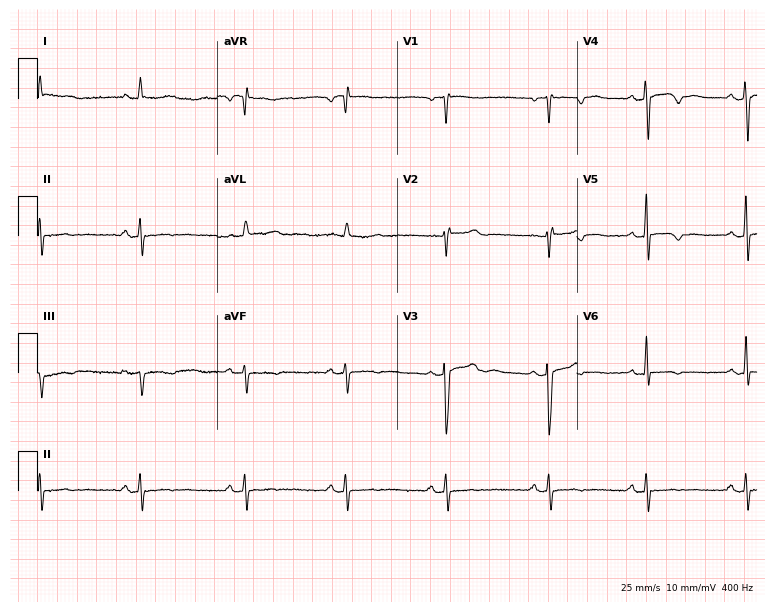
Electrocardiogram, a woman, 63 years old. Of the six screened findings (first-degree AV block, right bundle branch block, left bundle branch block, sinus bradycardia, atrial fibrillation, sinus tachycardia), none is recorded. Findings outside these six are not listed.